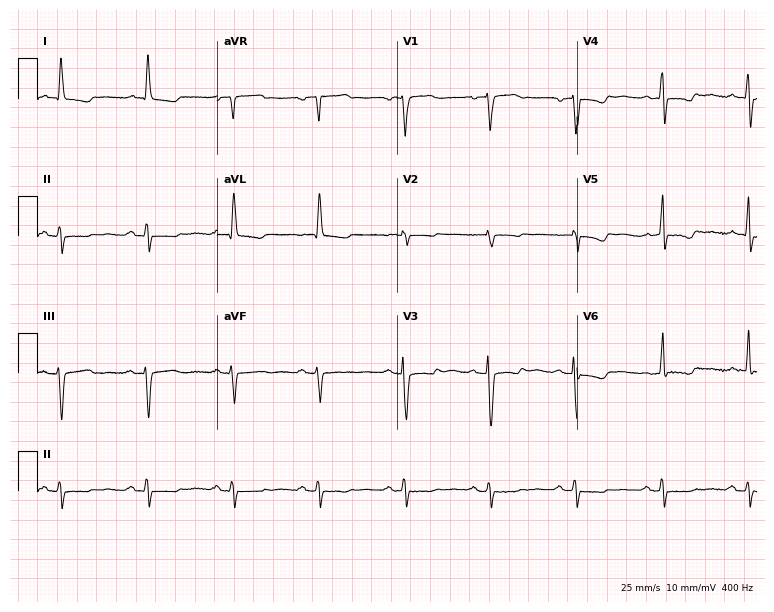
ECG (7.3-second recording at 400 Hz) — a 63-year-old female patient. Screened for six findings — first-degree AV block, right bundle branch block (RBBB), left bundle branch block (LBBB), sinus bradycardia, atrial fibrillation (AF), sinus tachycardia — none is recorded.